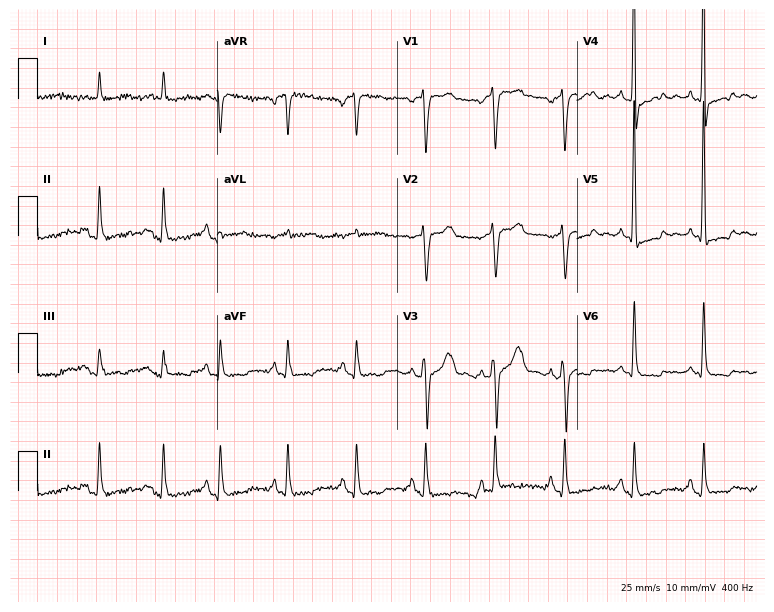
Standard 12-lead ECG recorded from a 63-year-old man. Read as a normal ECG.